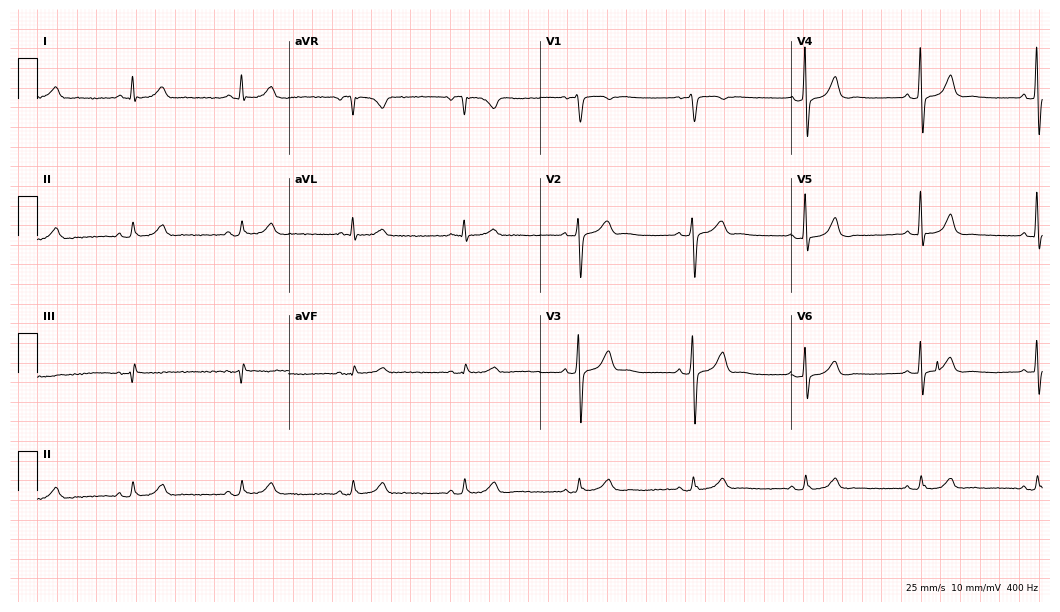
Standard 12-lead ECG recorded from a 66-year-old man. Read as a normal ECG.